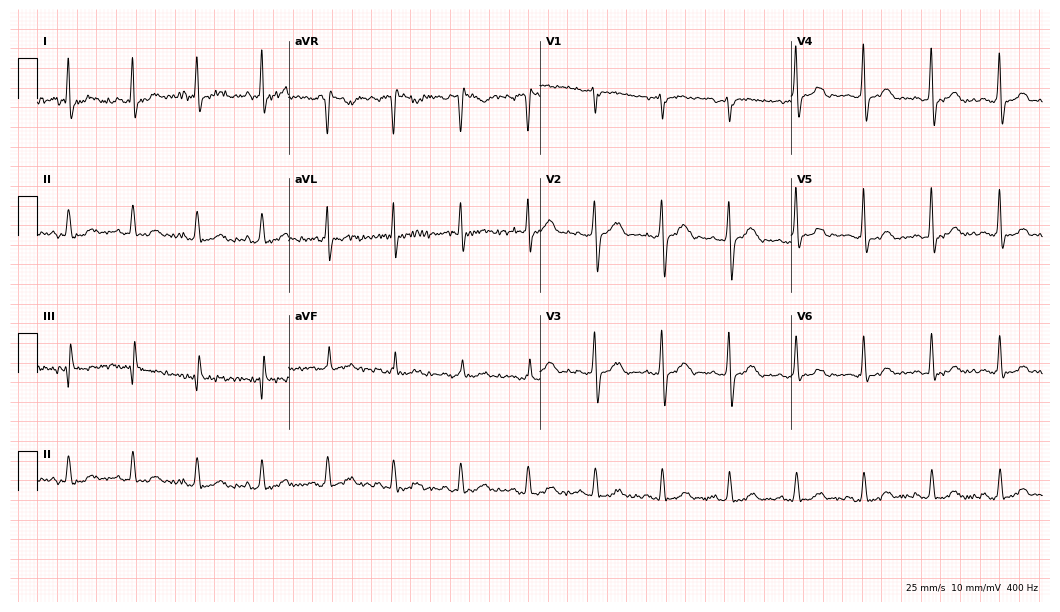
12-lead ECG from a 48-year-old man. Labelled as a normal ECG.